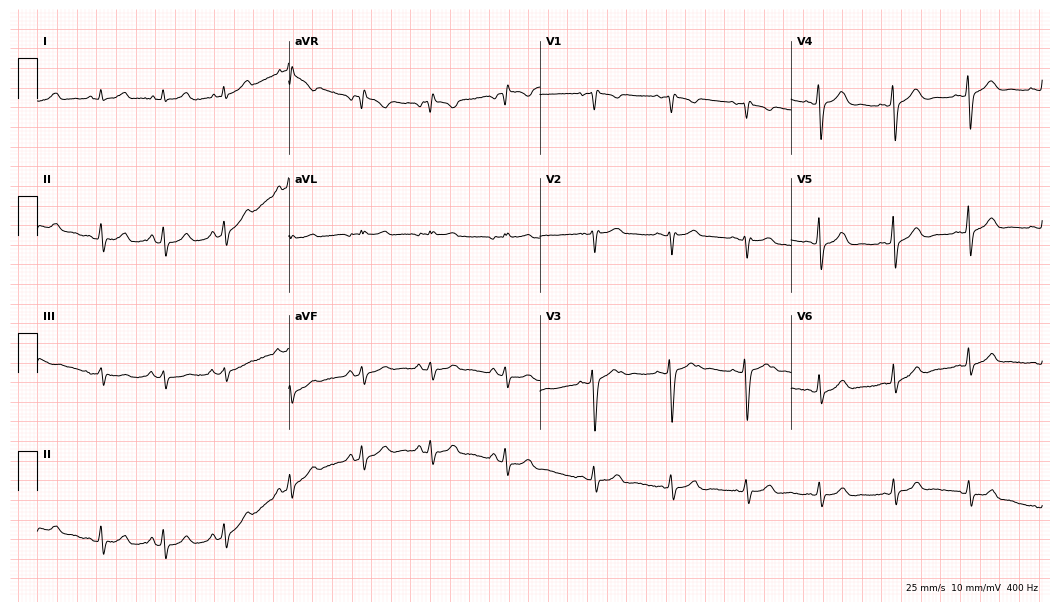
12-lead ECG from a female, 38 years old (10.2-second recording at 400 Hz). No first-degree AV block, right bundle branch block, left bundle branch block, sinus bradycardia, atrial fibrillation or sinus tachycardia recorded for this tracing. Findings outside these six are not listed.